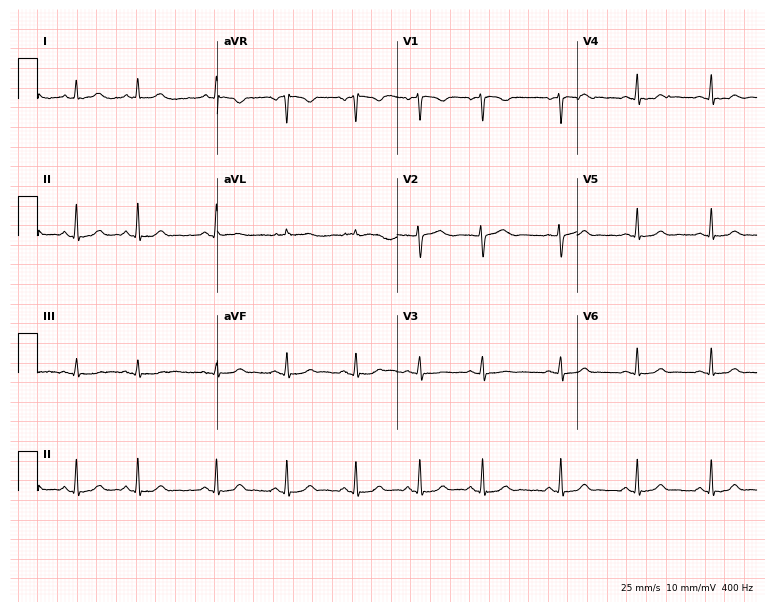
12-lead ECG from a female, 43 years old. Recorded interpretation: within normal limits.